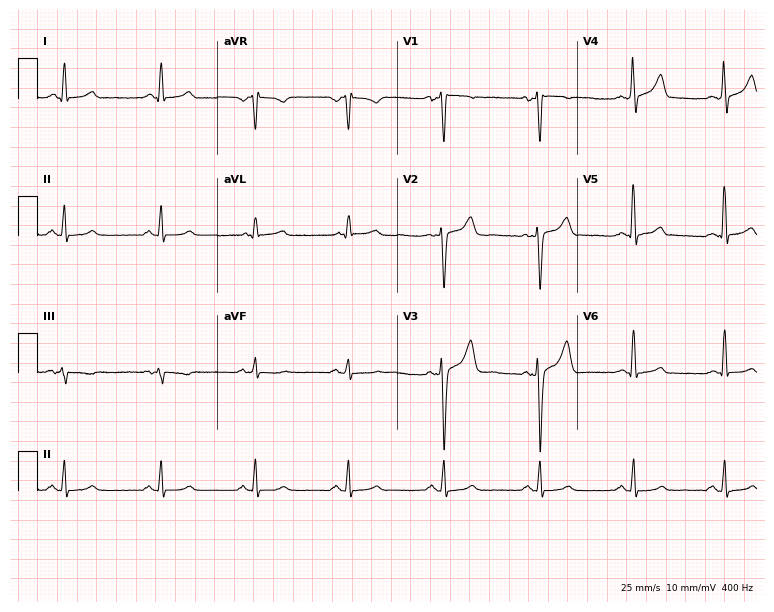
12-lead ECG from a 65-year-old male patient. Screened for six findings — first-degree AV block, right bundle branch block, left bundle branch block, sinus bradycardia, atrial fibrillation, sinus tachycardia — none is recorded. Findings outside these six are not listed.